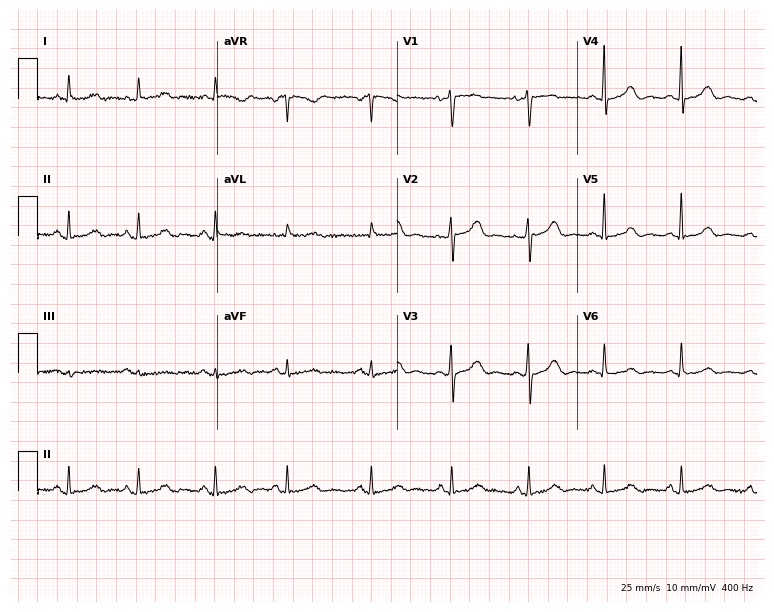
Standard 12-lead ECG recorded from a 66-year-old woman. Read as a normal ECG.